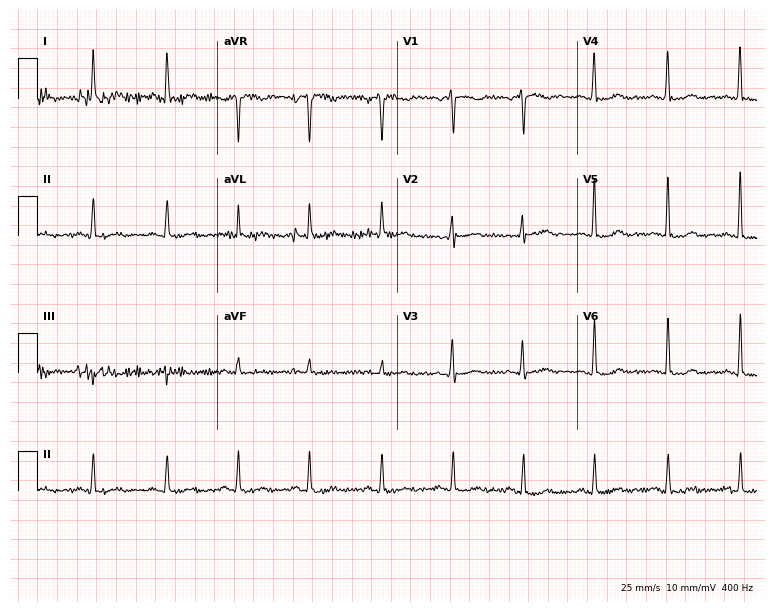
Standard 12-lead ECG recorded from a 49-year-old woman. None of these six findings is recorded: first-degree AV block, right bundle branch block, left bundle branch block, sinus bradycardia, atrial fibrillation, sinus tachycardia. Other findings, if any, are not listed.